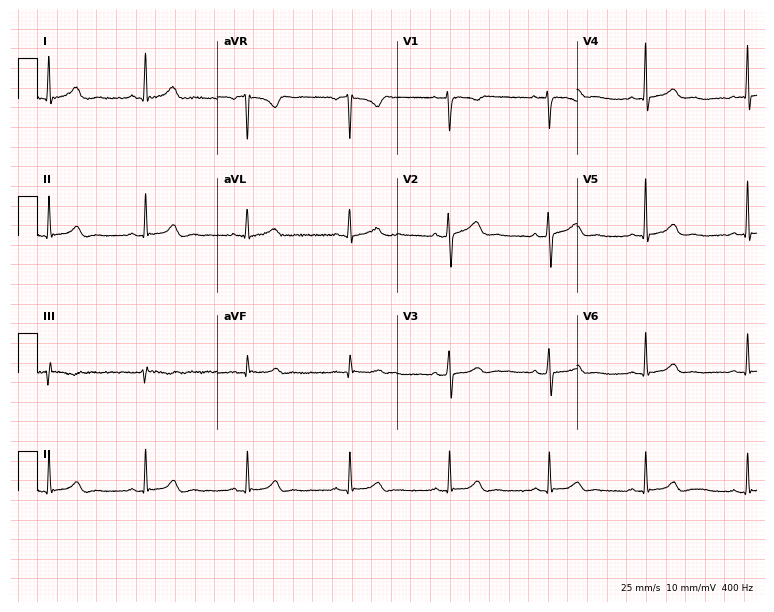
12-lead ECG from a woman, 35 years old (7.3-second recording at 400 Hz). Recorded interpretation: within normal limits.